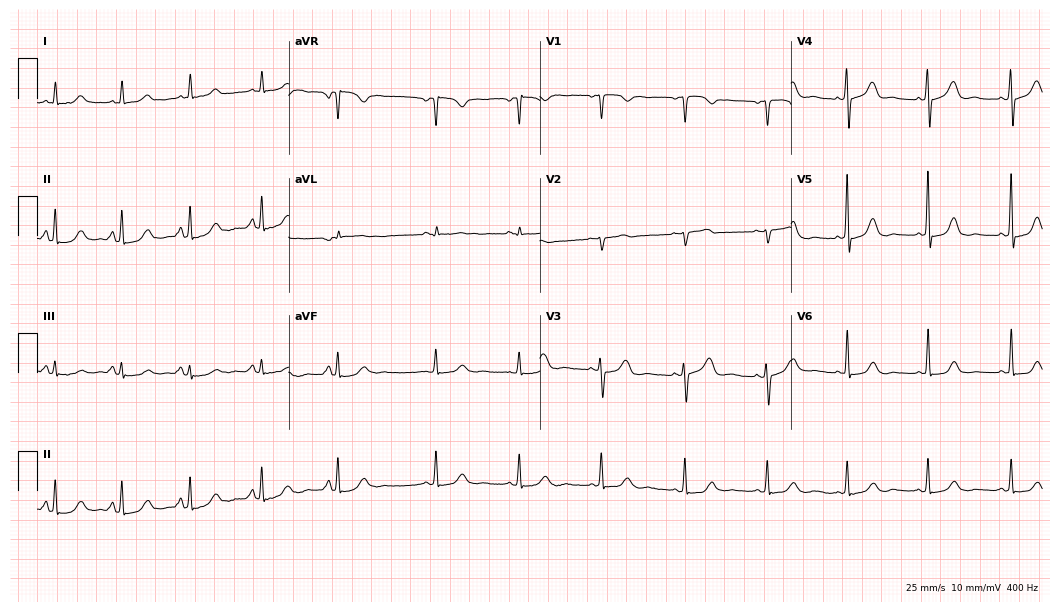
12-lead ECG from a woman, 52 years old (10.2-second recording at 400 Hz). Recorded interpretation: within normal limits.